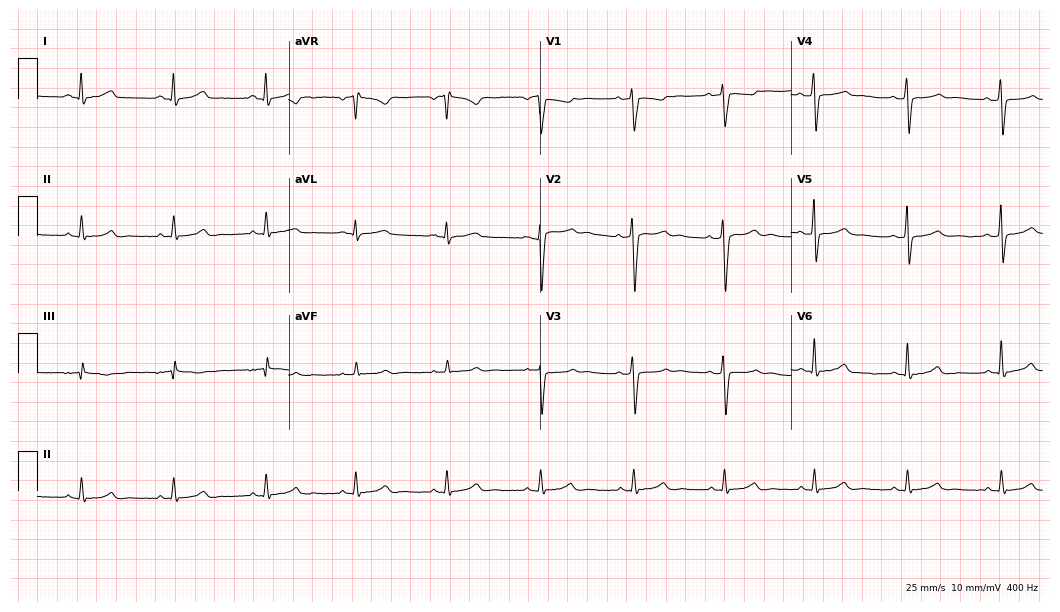
Standard 12-lead ECG recorded from a 40-year-old female patient. Read as a normal ECG.